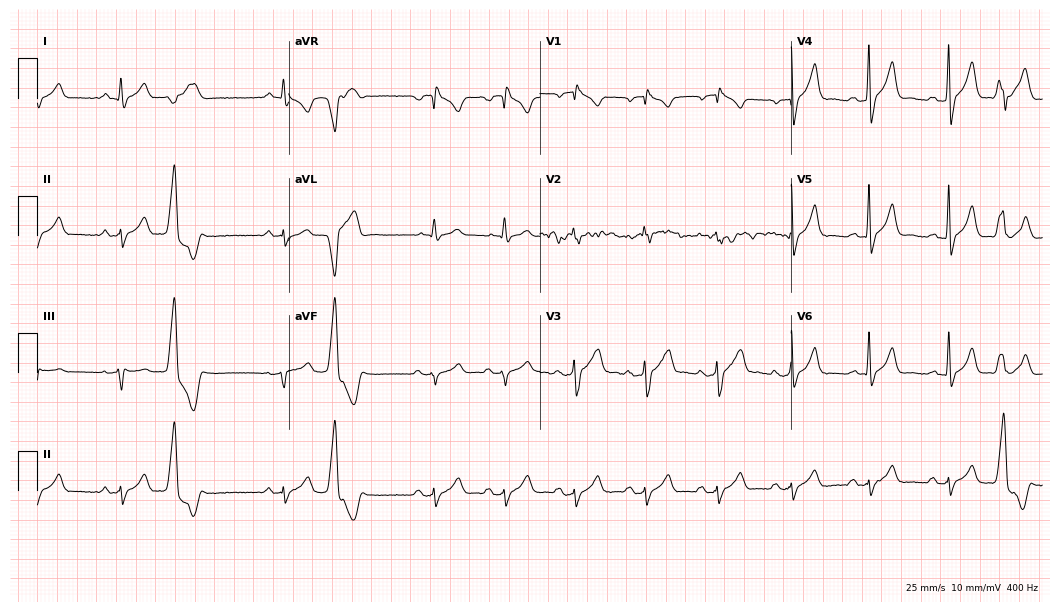
12-lead ECG (10.2-second recording at 400 Hz) from a 75-year-old man. Screened for six findings — first-degree AV block, right bundle branch block (RBBB), left bundle branch block (LBBB), sinus bradycardia, atrial fibrillation (AF), sinus tachycardia — none is recorded. Other findings, if any, are not listed.